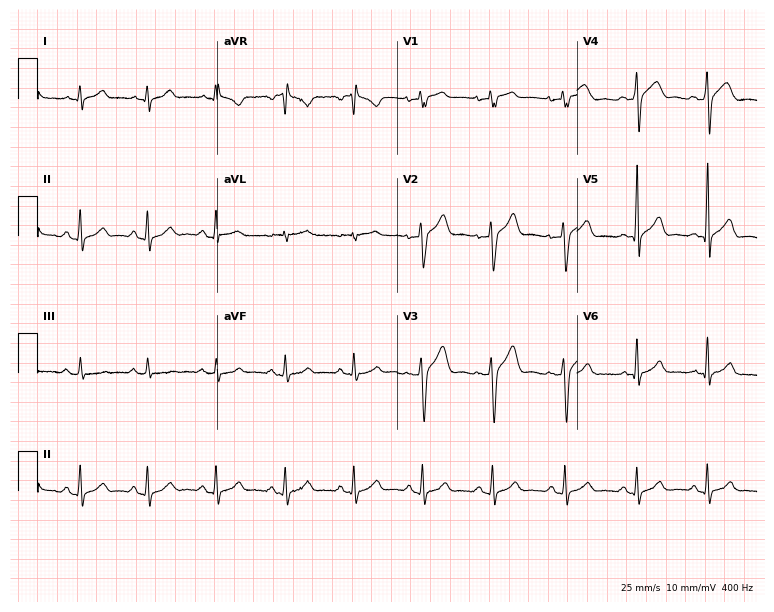
12-lead ECG (7.3-second recording at 400 Hz) from a 32-year-old male patient. Labelled as a normal ECG.